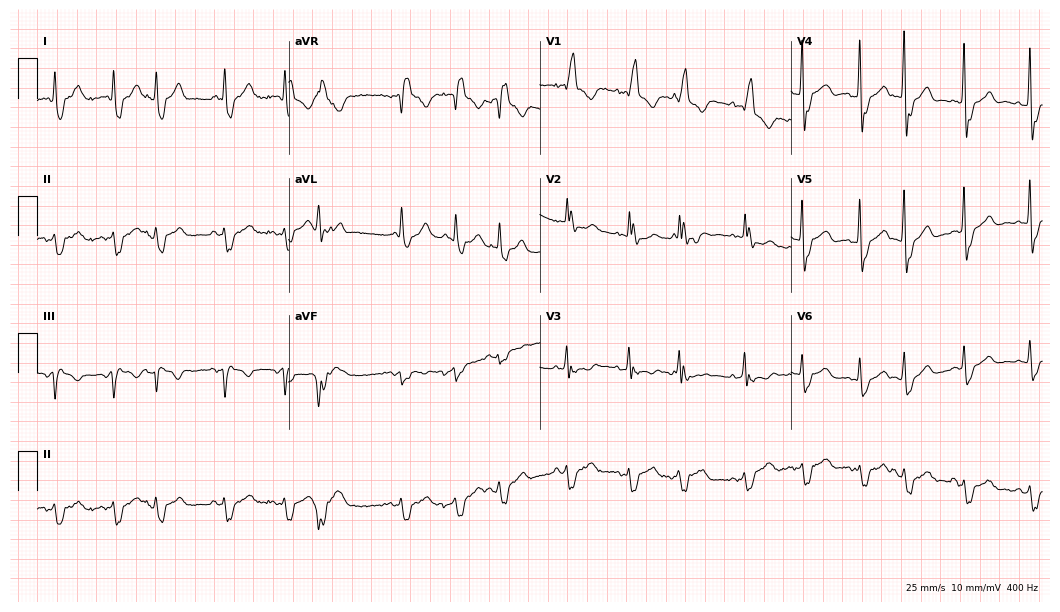
Resting 12-lead electrocardiogram. Patient: a 73-year-old female. The tracing shows right bundle branch block, sinus tachycardia (a sinus rate of 100 beats per minute or more).